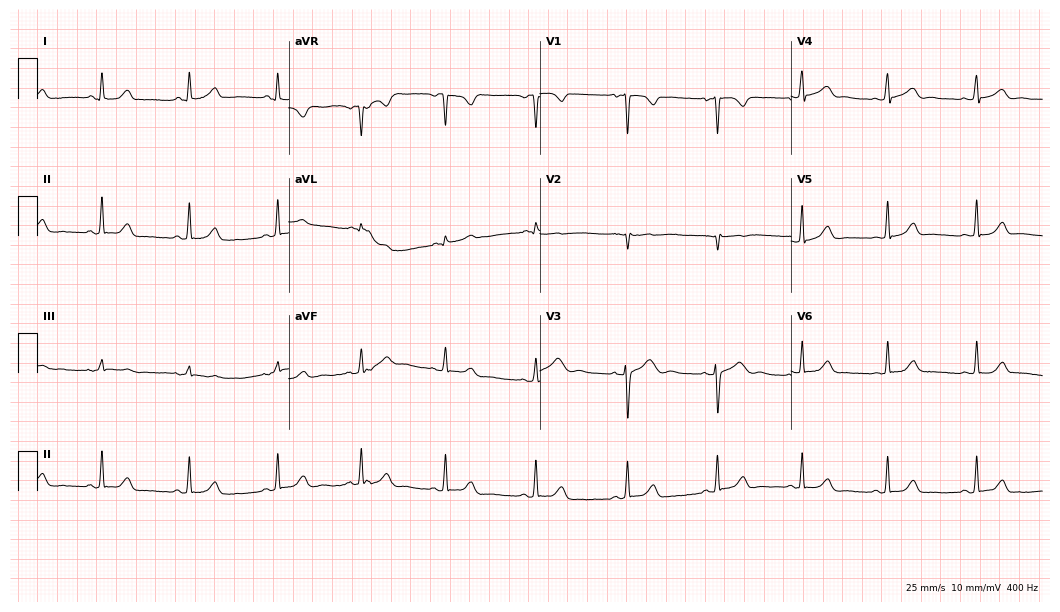
Resting 12-lead electrocardiogram. Patient: a female, 20 years old. Read as a normal ECG.